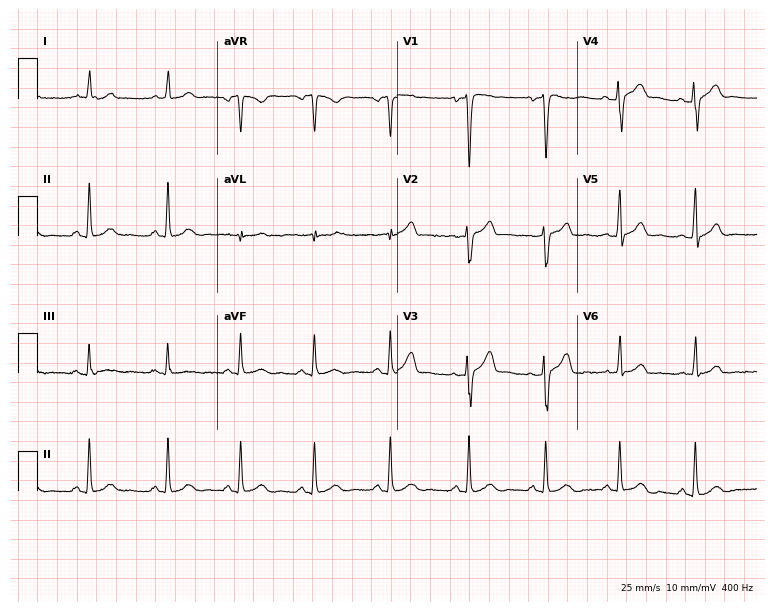
12-lead ECG from a male, 23 years old (7.3-second recording at 400 Hz). Recorded interpretation: within normal limits.